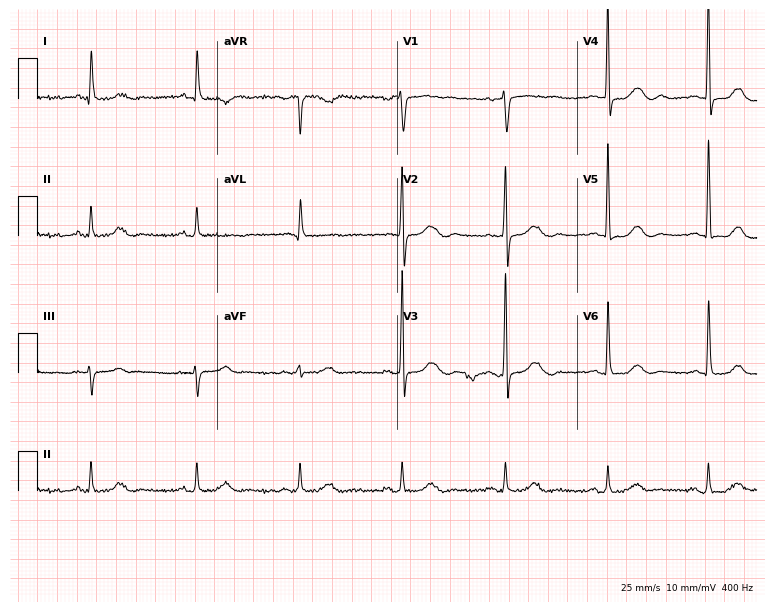
12-lead ECG from a woman, 54 years old (7.3-second recording at 400 Hz). No first-degree AV block, right bundle branch block, left bundle branch block, sinus bradycardia, atrial fibrillation or sinus tachycardia recorded for this tracing.